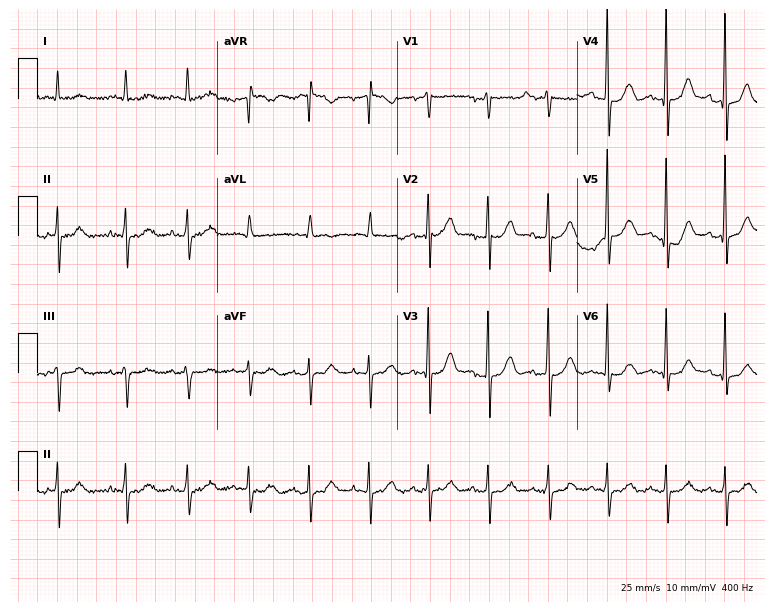
12-lead ECG from a male, 84 years old (7.3-second recording at 400 Hz). No first-degree AV block, right bundle branch block, left bundle branch block, sinus bradycardia, atrial fibrillation or sinus tachycardia recorded for this tracing. Other findings, if any, are not listed.